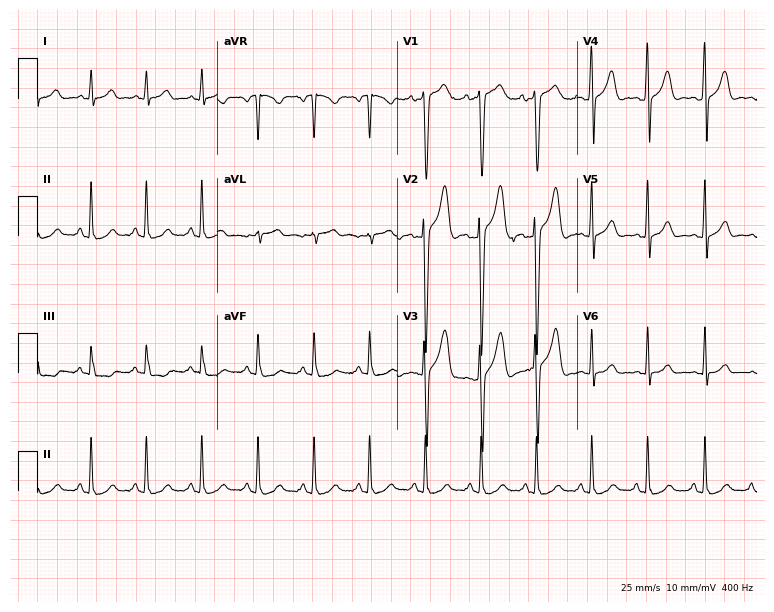
Resting 12-lead electrocardiogram. Patient: a male, 29 years old. None of these six findings is recorded: first-degree AV block, right bundle branch block, left bundle branch block, sinus bradycardia, atrial fibrillation, sinus tachycardia.